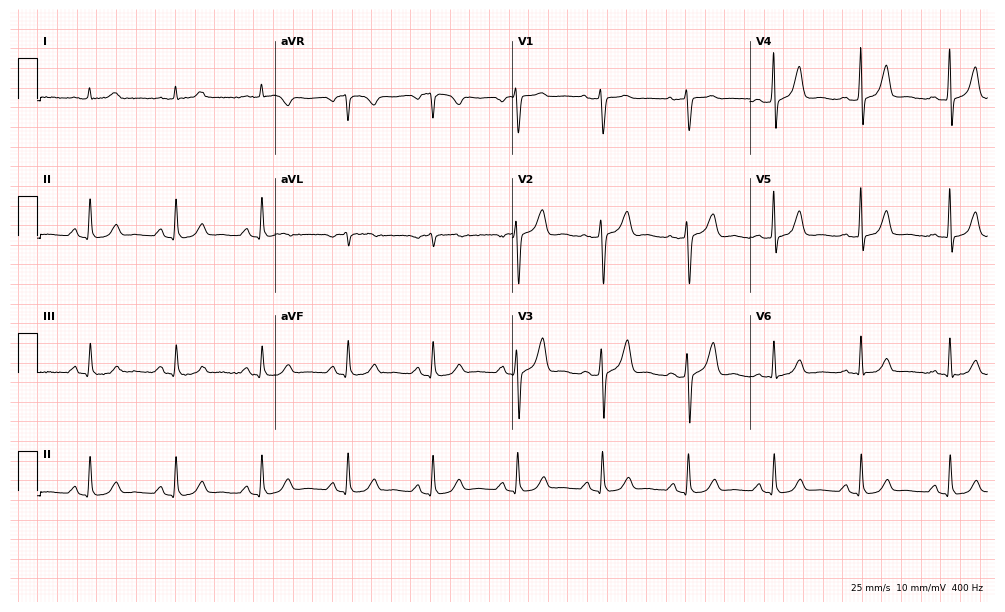
Resting 12-lead electrocardiogram. Patient: a male, 60 years old. Read as a normal ECG.